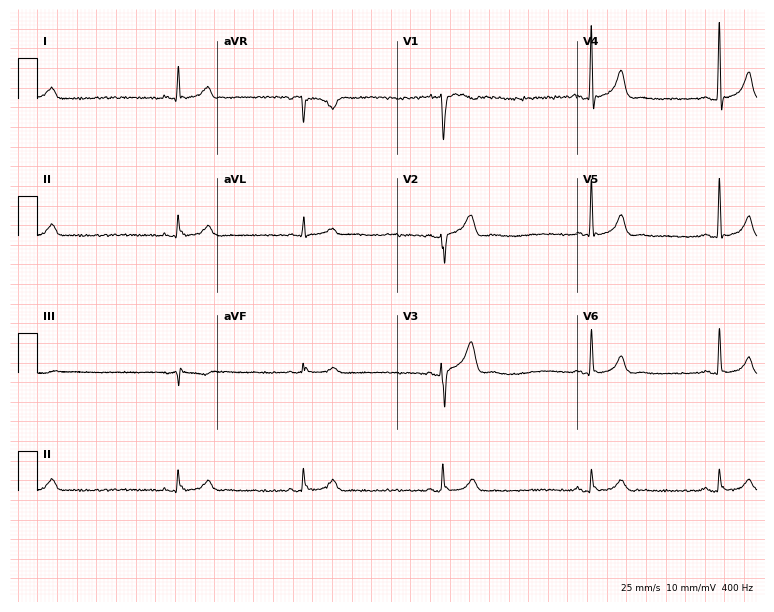
12-lead ECG from a 63-year-old man. Shows sinus bradycardia (a sinus rate of 50 beats per minute or less).